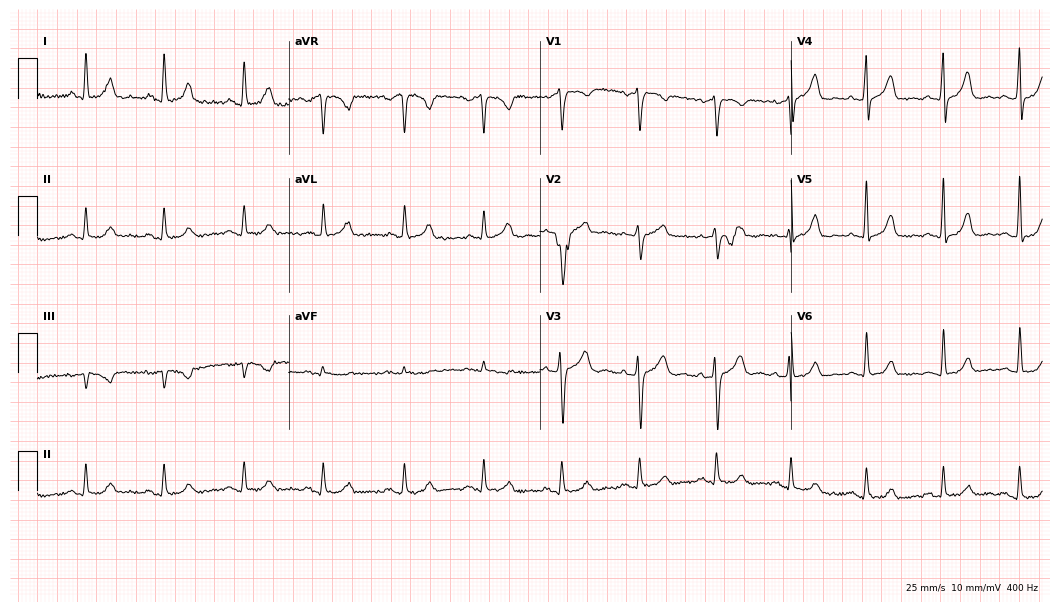
Electrocardiogram, a 39-year-old female patient. Of the six screened findings (first-degree AV block, right bundle branch block (RBBB), left bundle branch block (LBBB), sinus bradycardia, atrial fibrillation (AF), sinus tachycardia), none is recorded.